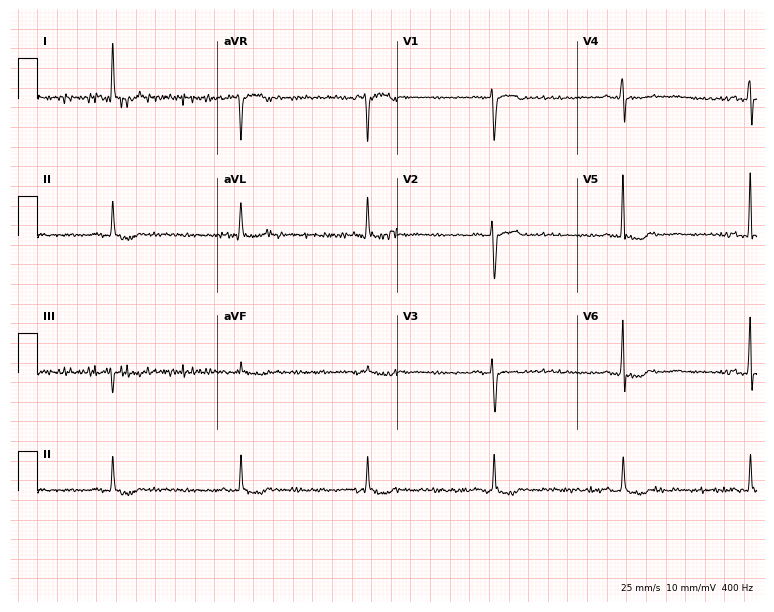
Electrocardiogram, a 67-year-old female patient. Of the six screened findings (first-degree AV block, right bundle branch block (RBBB), left bundle branch block (LBBB), sinus bradycardia, atrial fibrillation (AF), sinus tachycardia), none is recorded. Other findings, if any, are not listed.